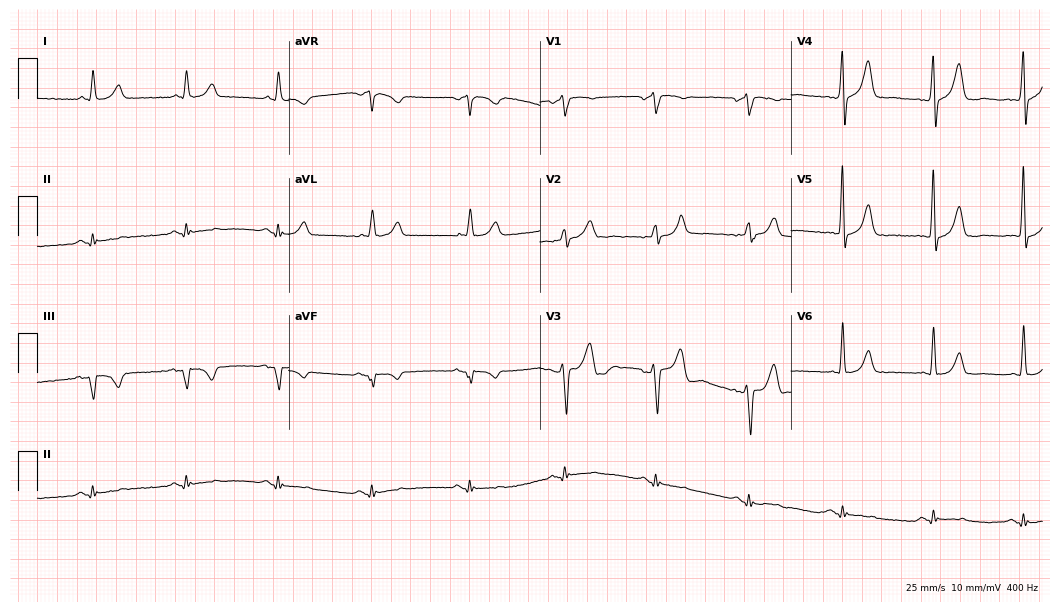
12-lead ECG (10.2-second recording at 400 Hz) from a male patient, 58 years old. Screened for six findings — first-degree AV block, right bundle branch block, left bundle branch block, sinus bradycardia, atrial fibrillation, sinus tachycardia — none is recorded. Findings outside these six are not listed.